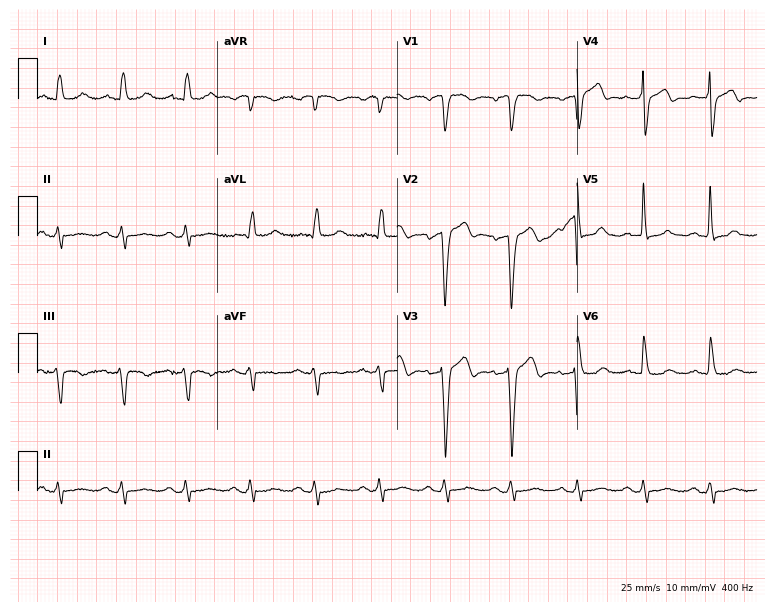
Electrocardiogram, a male, 82 years old. Of the six screened findings (first-degree AV block, right bundle branch block, left bundle branch block, sinus bradycardia, atrial fibrillation, sinus tachycardia), none is recorded.